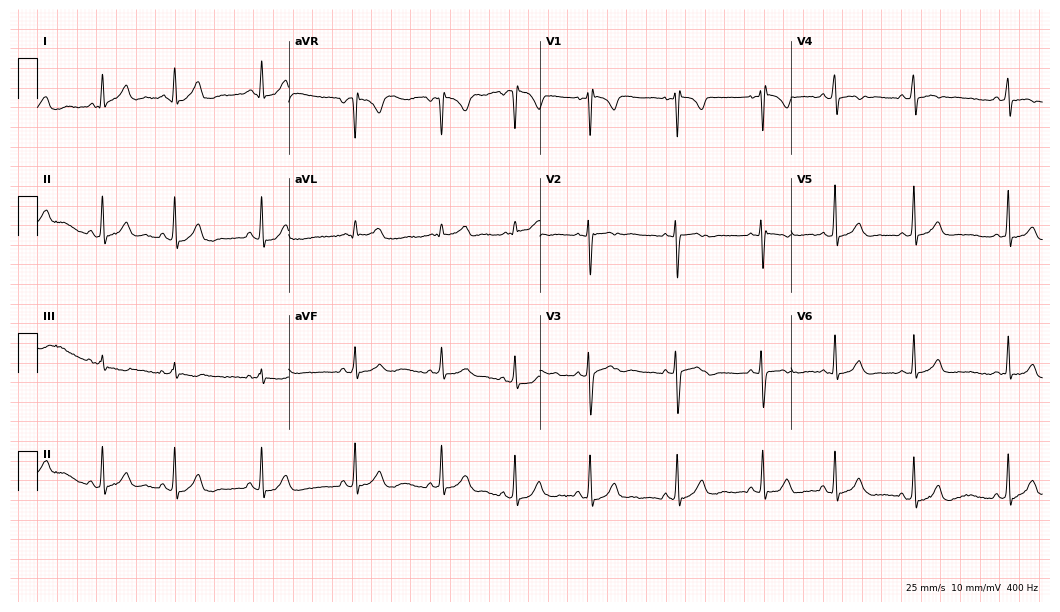
12-lead ECG from a 23-year-old woman. Labelled as a normal ECG.